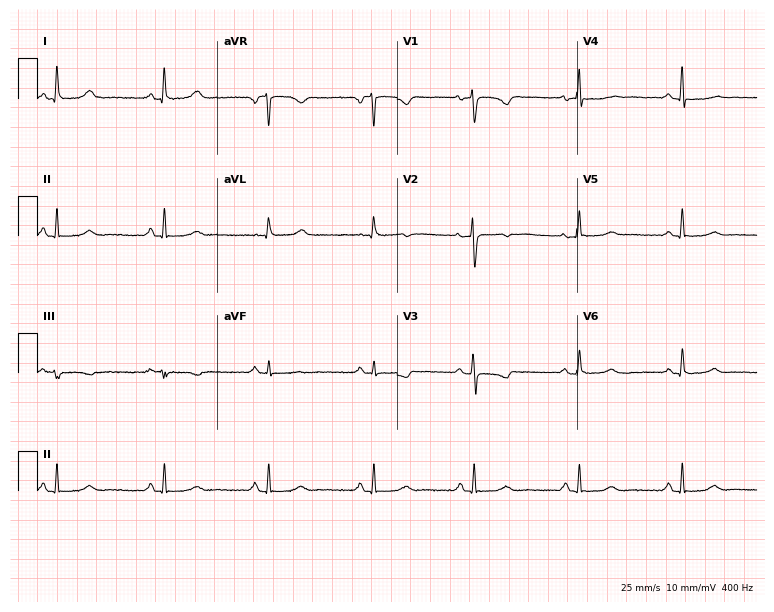
12-lead ECG (7.3-second recording at 400 Hz) from a 52-year-old female patient. Screened for six findings — first-degree AV block, right bundle branch block, left bundle branch block, sinus bradycardia, atrial fibrillation, sinus tachycardia — none is recorded.